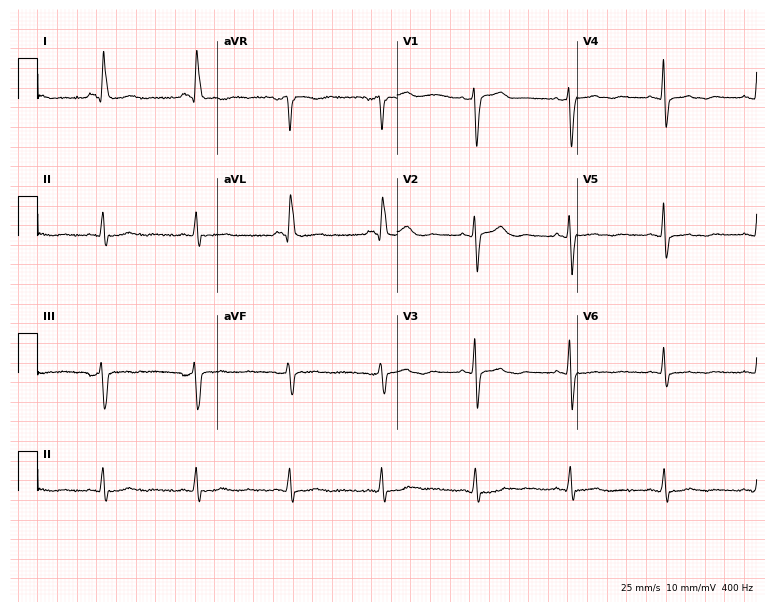
Resting 12-lead electrocardiogram (7.3-second recording at 400 Hz). Patient: a 77-year-old female. None of these six findings is recorded: first-degree AV block, right bundle branch block (RBBB), left bundle branch block (LBBB), sinus bradycardia, atrial fibrillation (AF), sinus tachycardia. Findings outside these six are not listed.